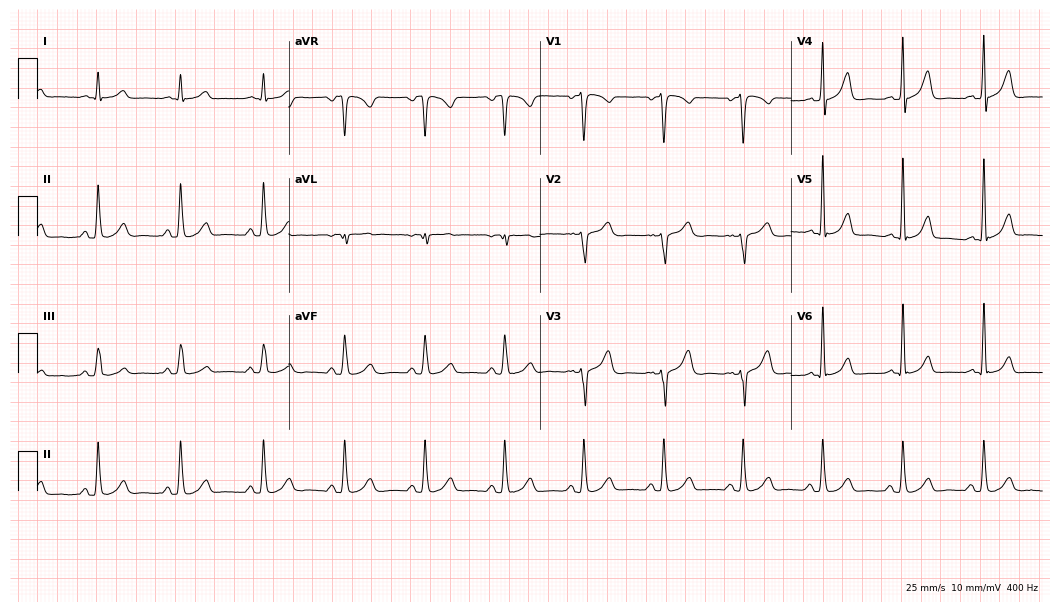
Standard 12-lead ECG recorded from a 42-year-old man. None of these six findings is recorded: first-degree AV block, right bundle branch block (RBBB), left bundle branch block (LBBB), sinus bradycardia, atrial fibrillation (AF), sinus tachycardia.